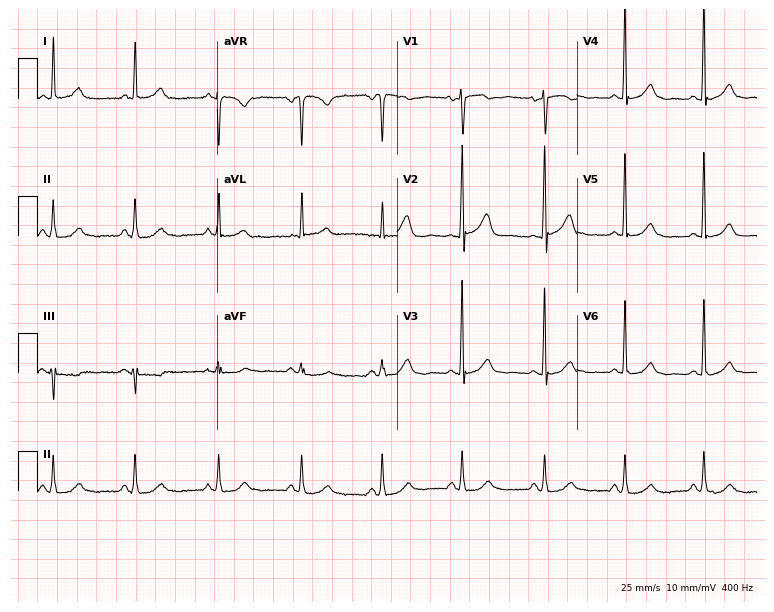
12-lead ECG from a 65-year-old female patient. Recorded interpretation: within normal limits.